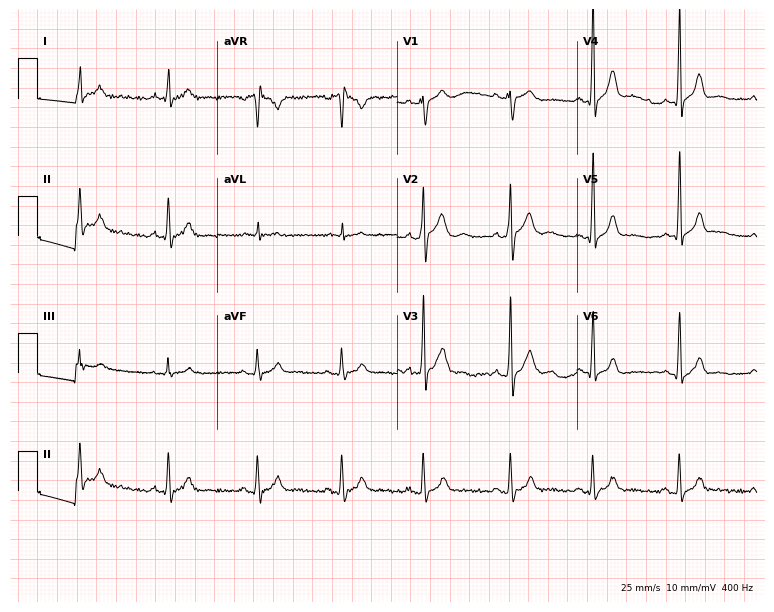
Resting 12-lead electrocardiogram (7.3-second recording at 400 Hz). Patient: a 25-year-old man. None of these six findings is recorded: first-degree AV block, right bundle branch block (RBBB), left bundle branch block (LBBB), sinus bradycardia, atrial fibrillation (AF), sinus tachycardia. Other findings, if any, are not listed.